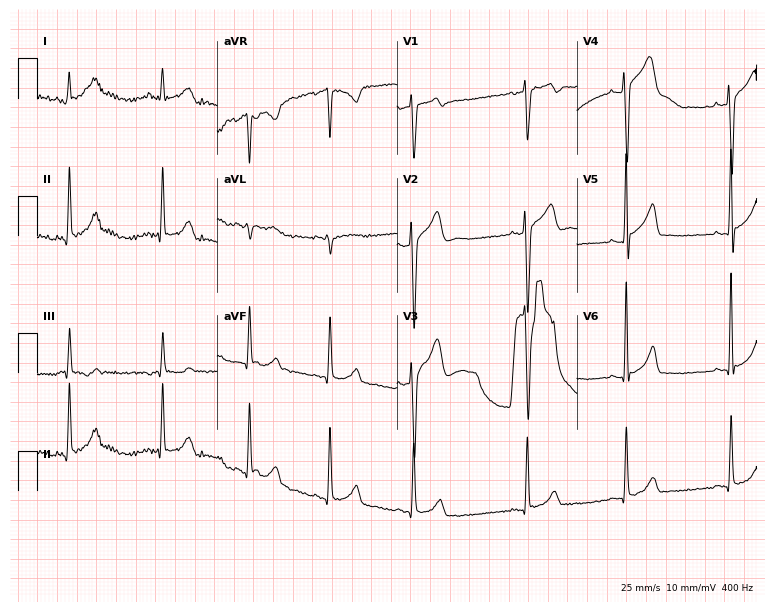
ECG (7.3-second recording at 400 Hz) — a 24-year-old man. Screened for six findings — first-degree AV block, right bundle branch block, left bundle branch block, sinus bradycardia, atrial fibrillation, sinus tachycardia — none is recorded.